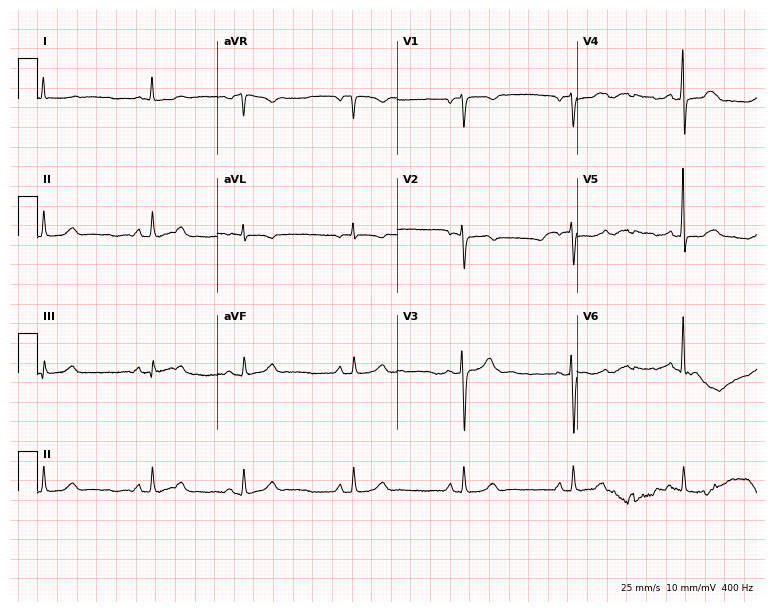
ECG — a male, 84 years old. Screened for six findings — first-degree AV block, right bundle branch block (RBBB), left bundle branch block (LBBB), sinus bradycardia, atrial fibrillation (AF), sinus tachycardia — none is recorded.